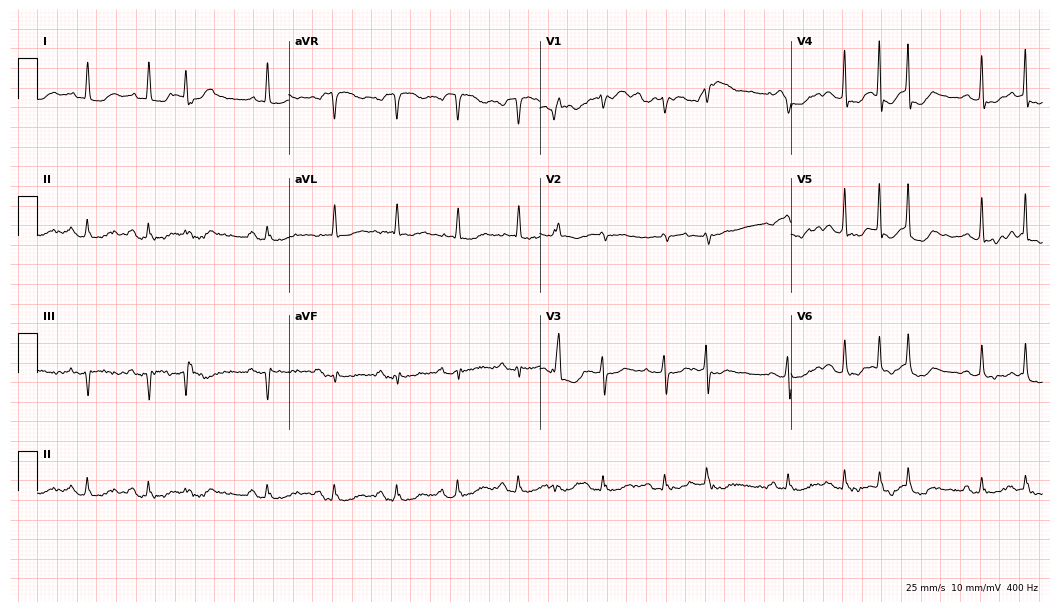
ECG (10.2-second recording at 400 Hz) — a female patient, 85 years old. Screened for six findings — first-degree AV block, right bundle branch block, left bundle branch block, sinus bradycardia, atrial fibrillation, sinus tachycardia — none is recorded.